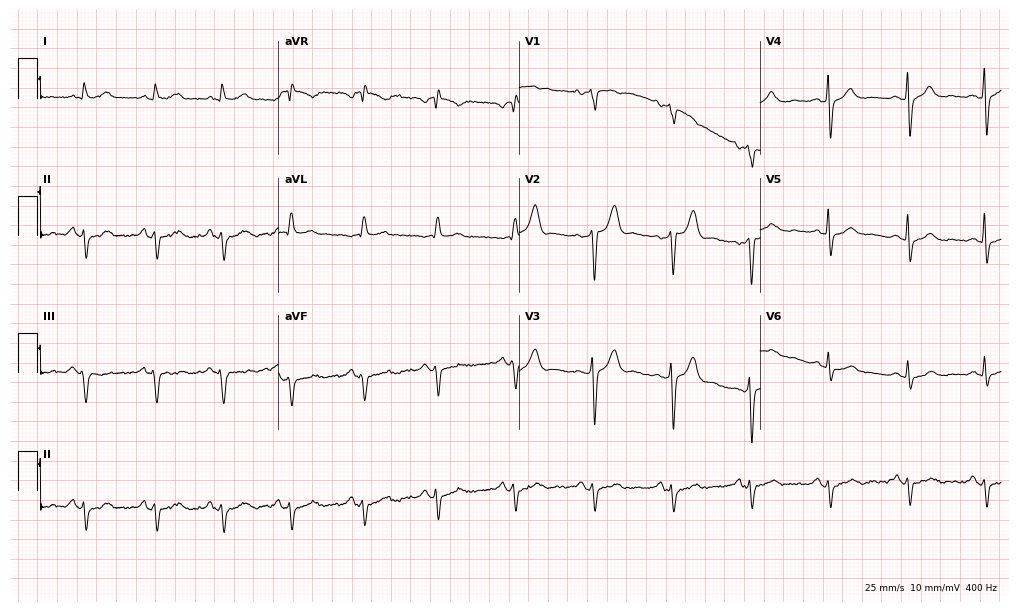
ECG — a 31-year-old male. Screened for six findings — first-degree AV block, right bundle branch block, left bundle branch block, sinus bradycardia, atrial fibrillation, sinus tachycardia — none is recorded. Other findings, if any, are not listed.